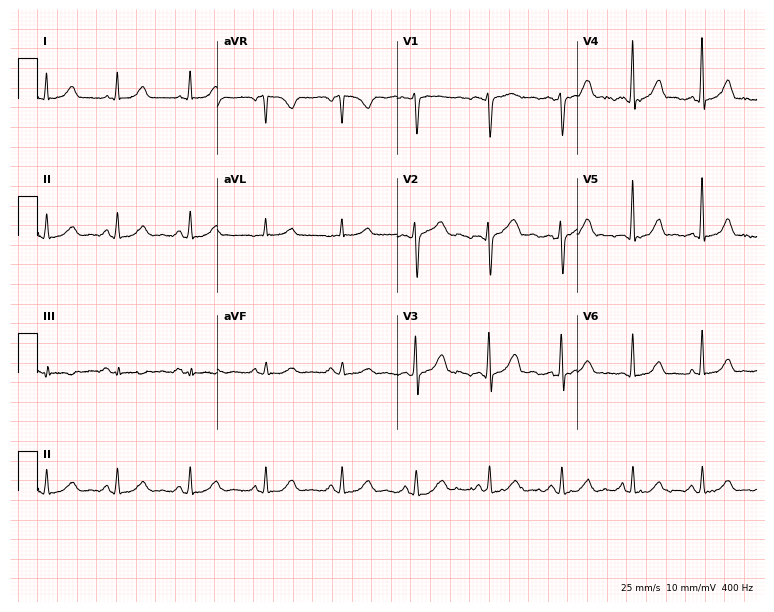
ECG (7.3-second recording at 400 Hz) — a female patient, 42 years old. Labelled as a normal ECG.